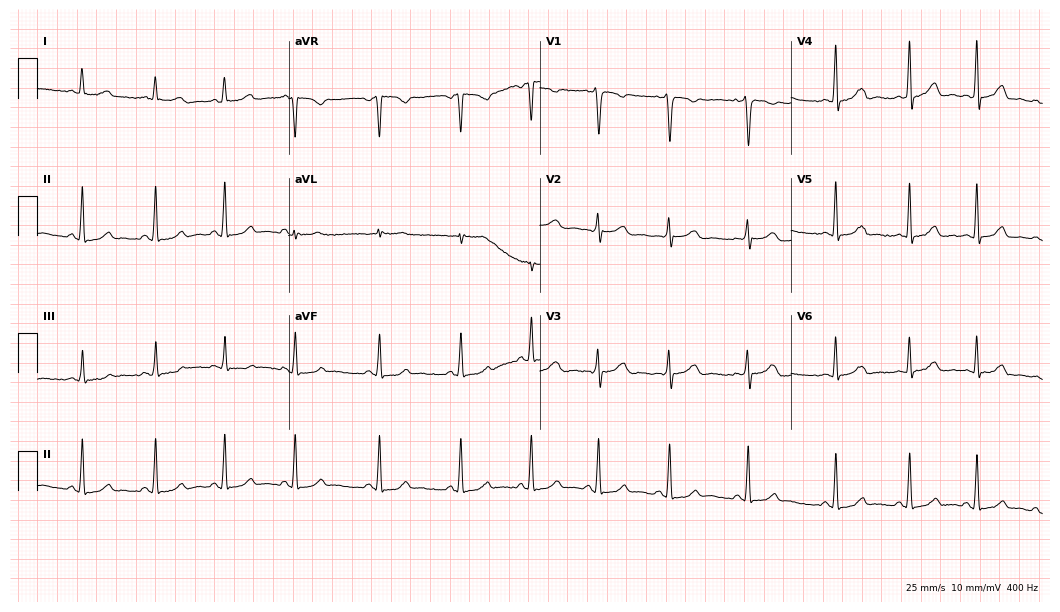
Electrocardiogram (10.2-second recording at 400 Hz), a woman, 29 years old. Overall reading on record: normal ECG.